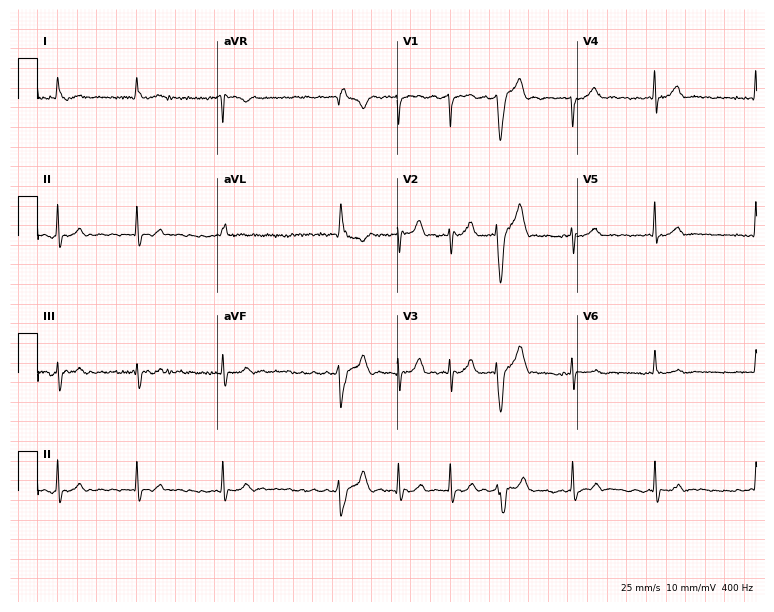
12-lead ECG (7.3-second recording at 400 Hz) from an 80-year-old male. Findings include atrial fibrillation.